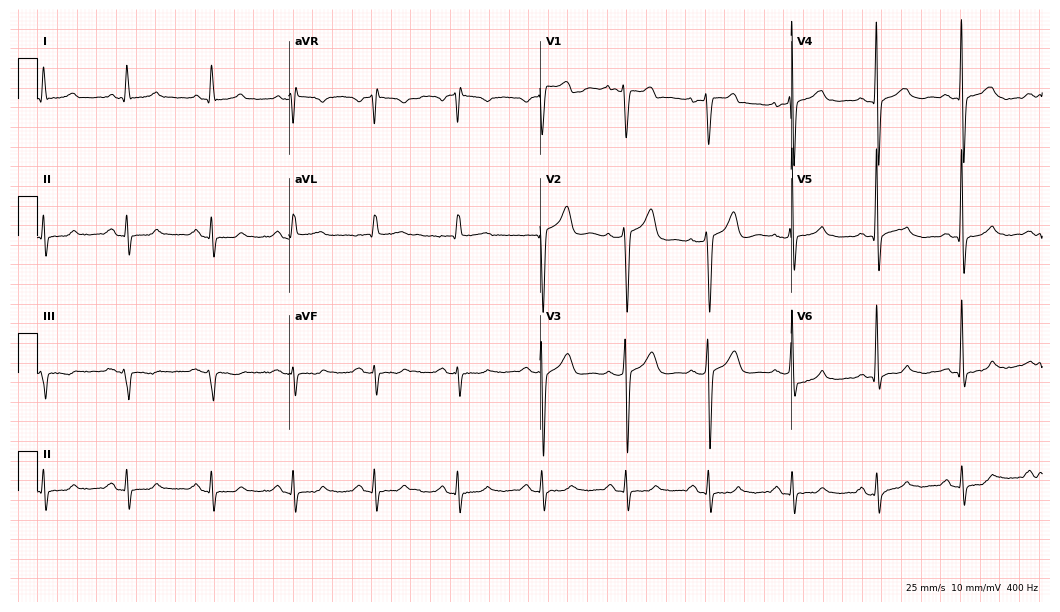
Electrocardiogram, a 55-year-old male patient. Overall reading on record: normal ECG.